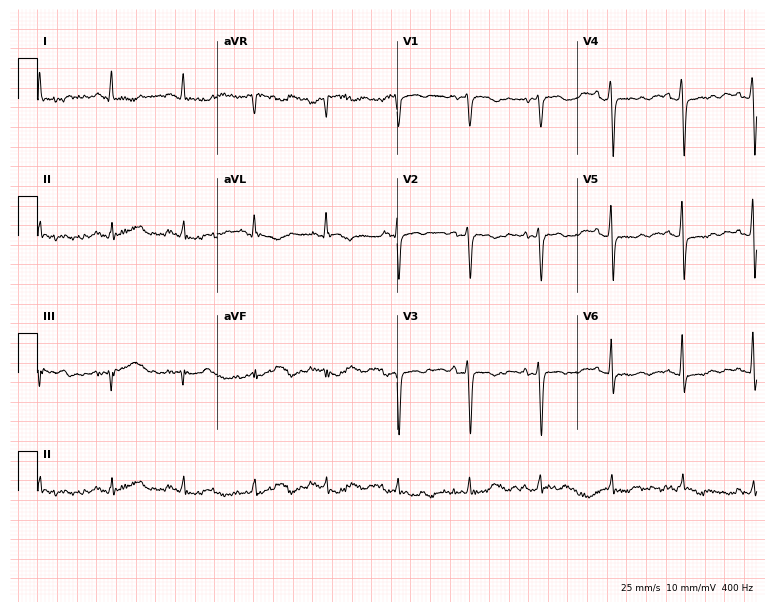
Electrocardiogram (7.3-second recording at 400 Hz), a 62-year-old female patient. Of the six screened findings (first-degree AV block, right bundle branch block, left bundle branch block, sinus bradycardia, atrial fibrillation, sinus tachycardia), none is recorded.